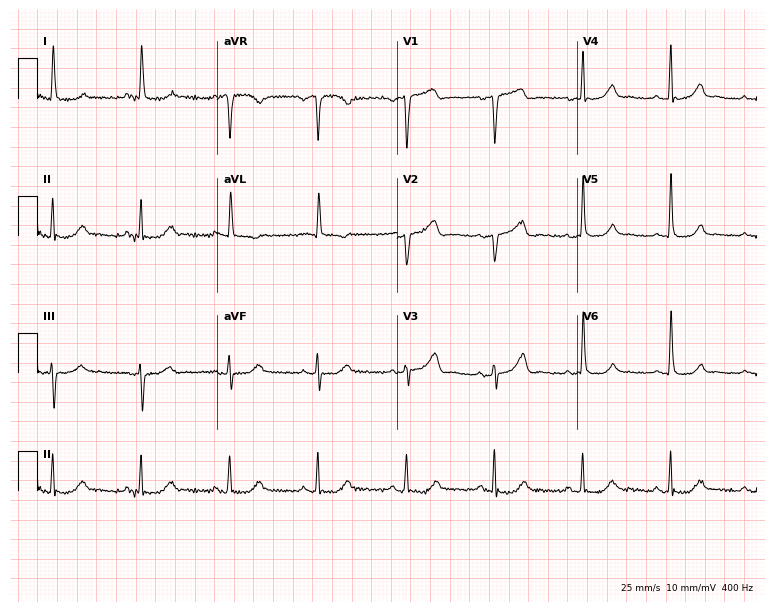
12-lead ECG from a woman, 61 years old (7.3-second recording at 400 Hz). Recorded interpretation: within normal limits.